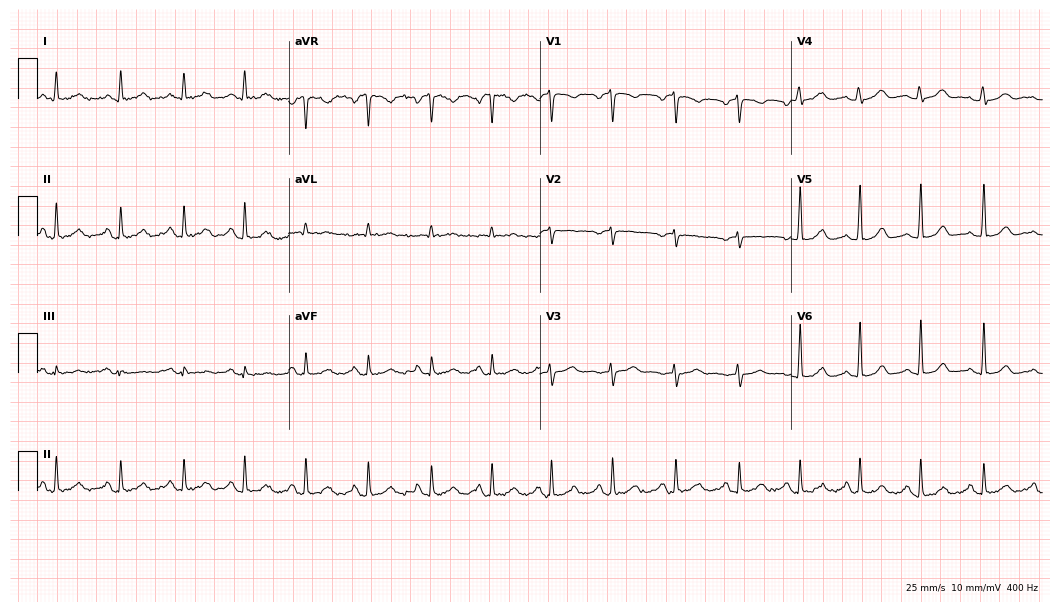
ECG — a 57-year-old woman. Labelled as a normal ECG.